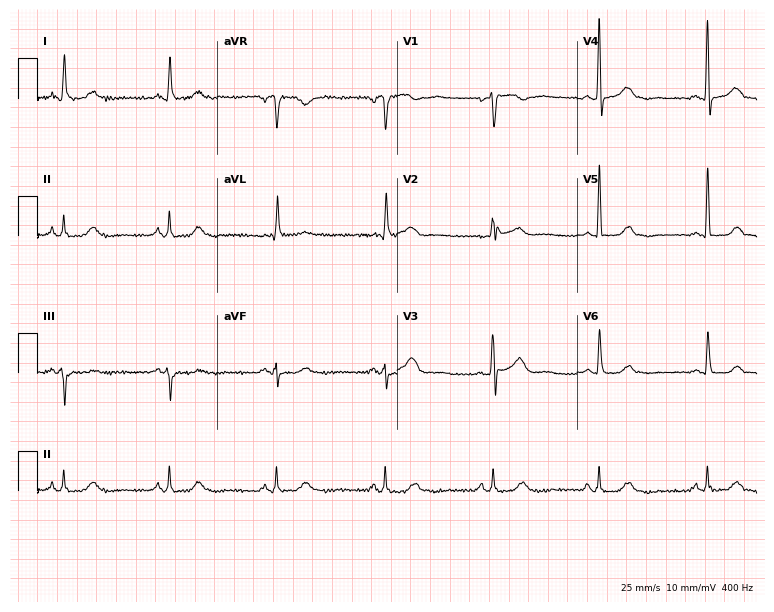
Electrocardiogram (7.3-second recording at 400 Hz), a woman, 71 years old. Of the six screened findings (first-degree AV block, right bundle branch block, left bundle branch block, sinus bradycardia, atrial fibrillation, sinus tachycardia), none is recorded. Findings outside these six are not listed.